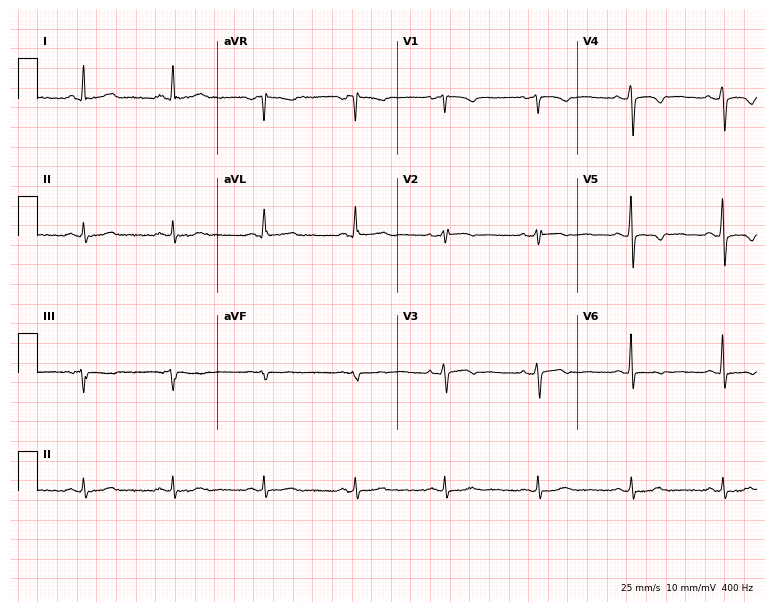
ECG (7.3-second recording at 400 Hz) — a woman, 43 years old. Screened for six findings — first-degree AV block, right bundle branch block (RBBB), left bundle branch block (LBBB), sinus bradycardia, atrial fibrillation (AF), sinus tachycardia — none is recorded. Findings outside these six are not listed.